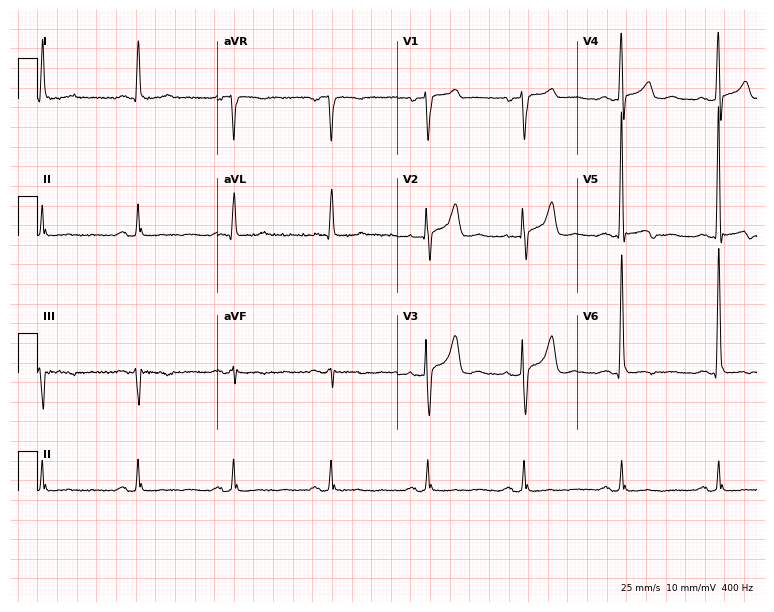
Standard 12-lead ECG recorded from a male patient, 69 years old (7.3-second recording at 400 Hz). None of these six findings is recorded: first-degree AV block, right bundle branch block, left bundle branch block, sinus bradycardia, atrial fibrillation, sinus tachycardia. Only these six findings were labelled.